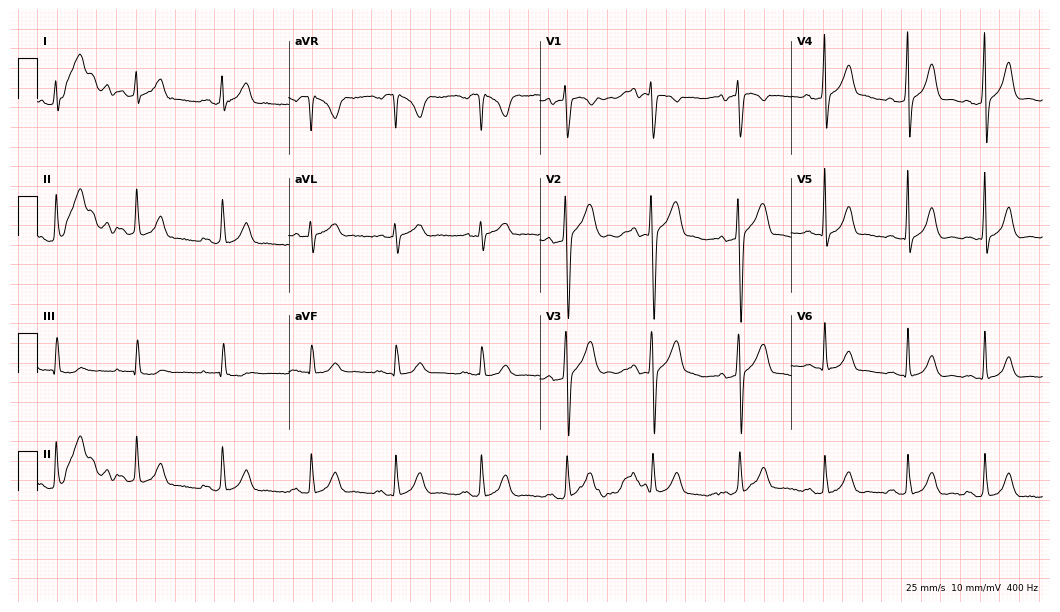
12-lead ECG from a 29-year-old man. Recorded interpretation: within normal limits.